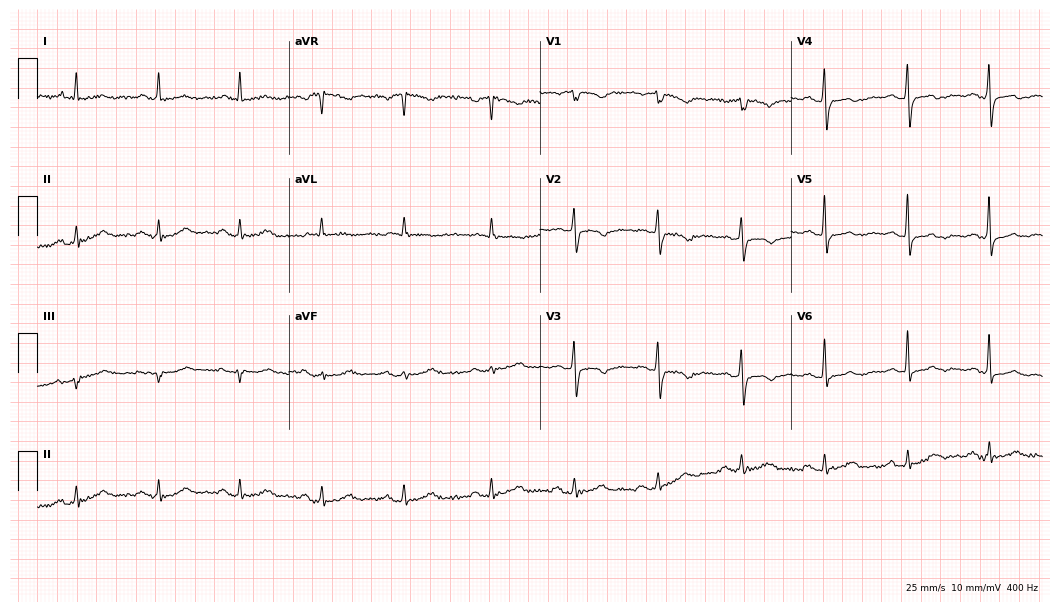
12-lead ECG from a 75-year-old female. No first-degree AV block, right bundle branch block, left bundle branch block, sinus bradycardia, atrial fibrillation or sinus tachycardia recorded for this tracing.